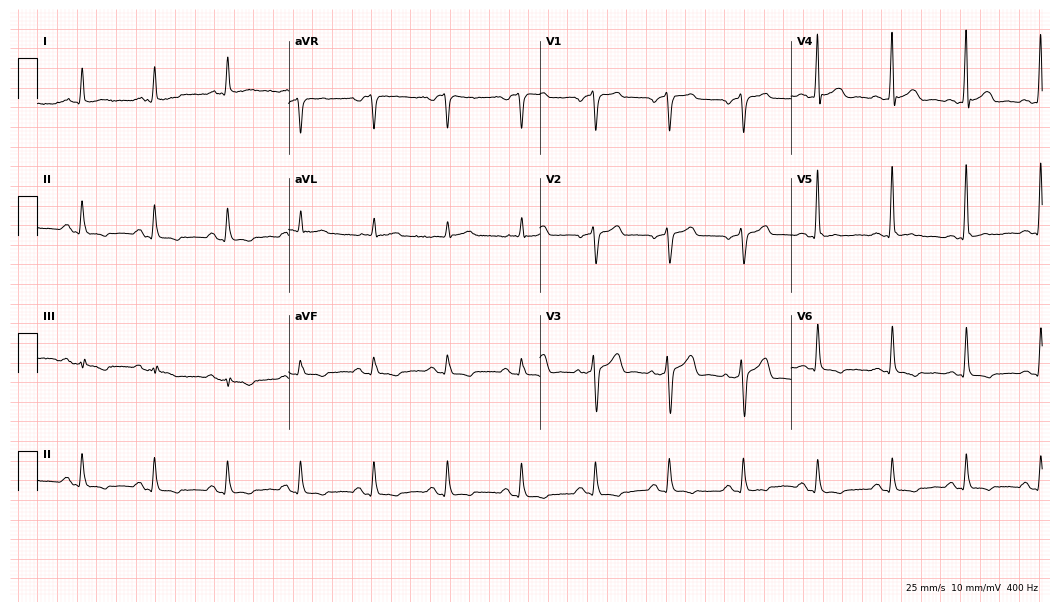
Electrocardiogram (10.2-second recording at 400 Hz), a 69-year-old male patient. Of the six screened findings (first-degree AV block, right bundle branch block (RBBB), left bundle branch block (LBBB), sinus bradycardia, atrial fibrillation (AF), sinus tachycardia), none is recorded. Only these six findings were labelled.